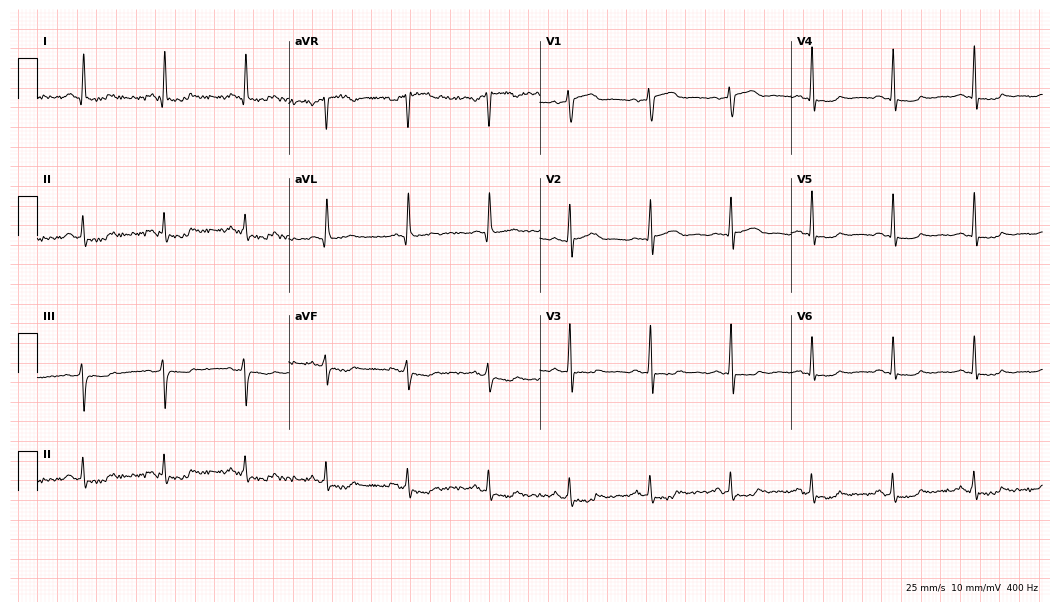
Resting 12-lead electrocardiogram. Patient: a male, 62 years old. Read as a normal ECG.